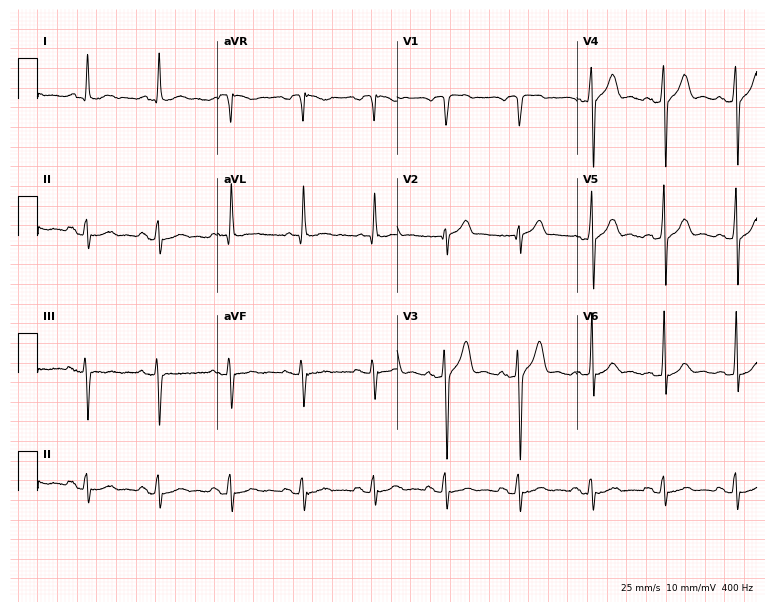
Electrocardiogram, a male, 50 years old. Of the six screened findings (first-degree AV block, right bundle branch block (RBBB), left bundle branch block (LBBB), sinus bradycardia, atrial fibrillation (AF), sinus tachycardia), none is recorded. Only these six findings were labelled.